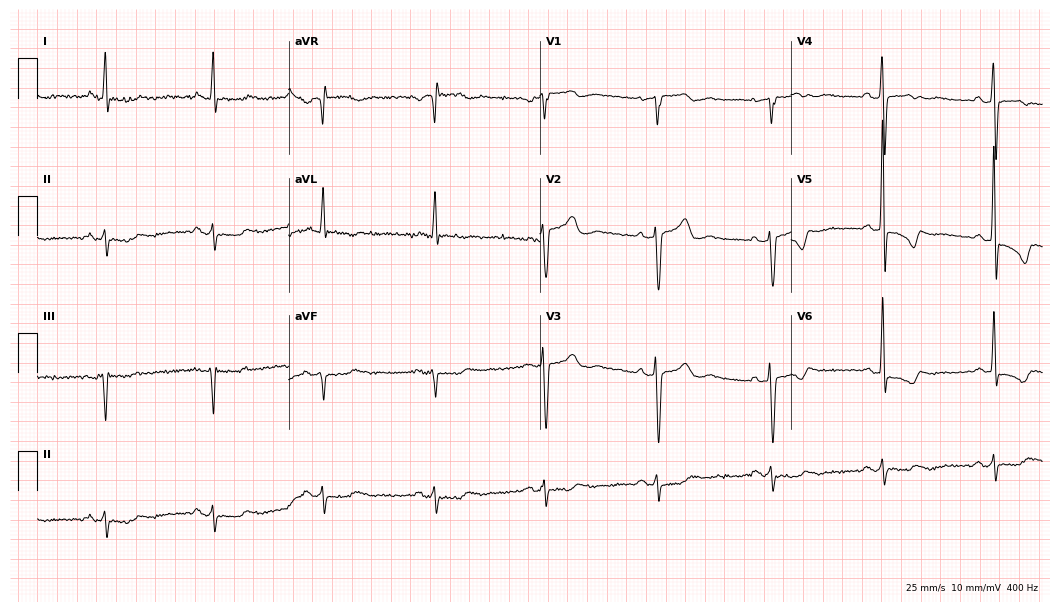
Electrocardiogram, a 41-year-old man. Of the six screened findings (first-degree AV block, right bundle branch block, left bundle branch block, sinus bradycardia, atrial fibrillation, sinus tachycardia), none is recorded. Only these six findings were labelled.